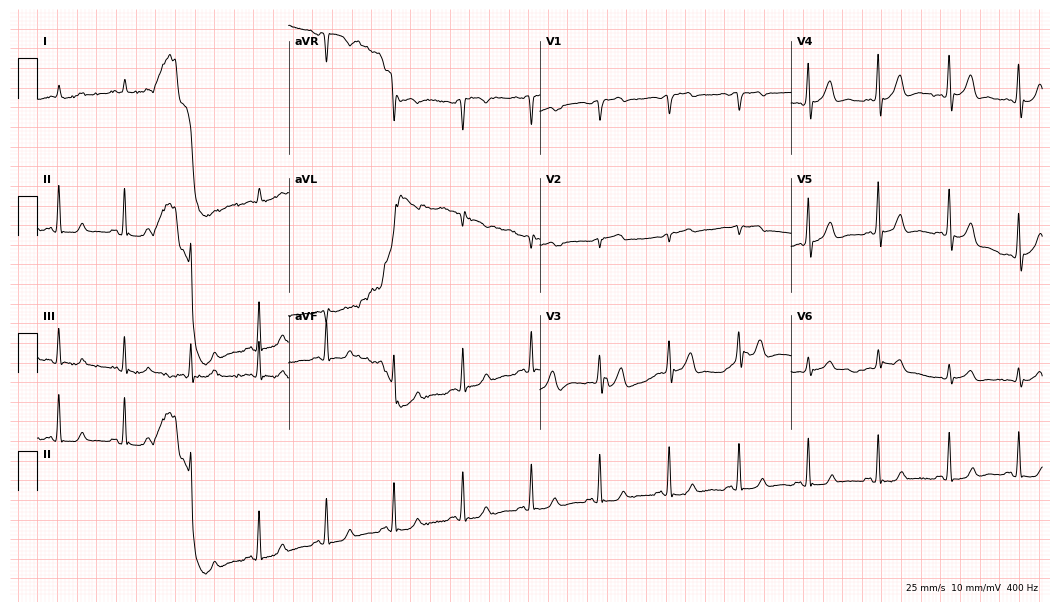
Standard 12-lead ECG recorded from an 81-year-old male patient. Read as a normal ECG.